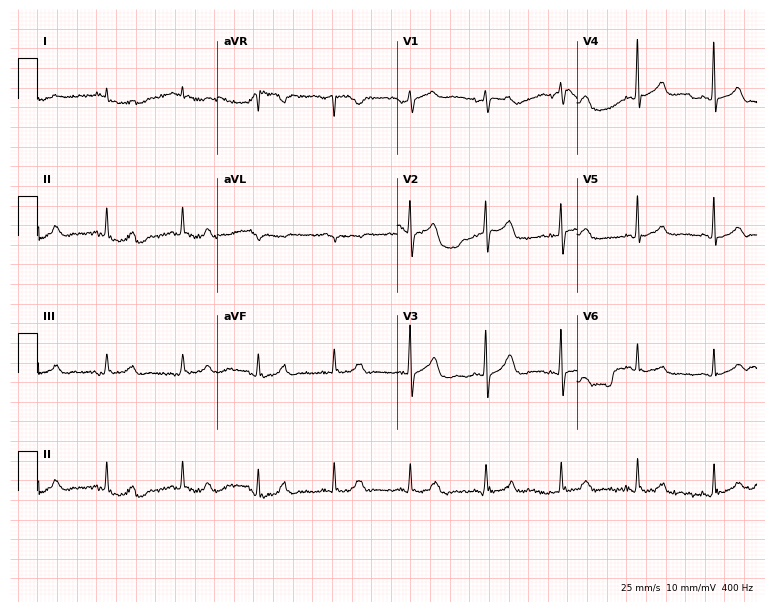
Resting 12-lead electrocardiogram (7.3-second recording at 400 Hz). Patient: a 78-year-old woman. None of these six findings is recorded: first-degree AV block, right bundle branch block, left bundle branch block, sinus bradycardia, atrial fibrillation, sinus tachycardia.